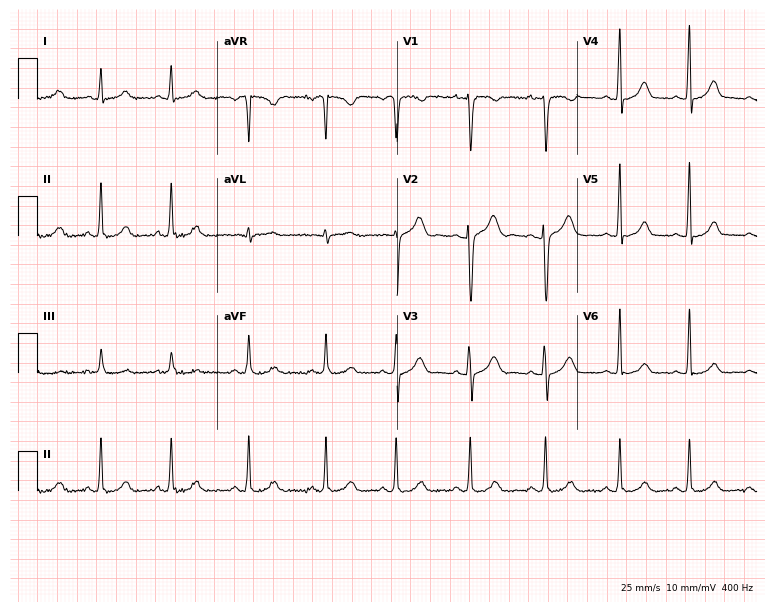
12-lead ECG from a 19-year-old woman. Labelled as a normal ECG.